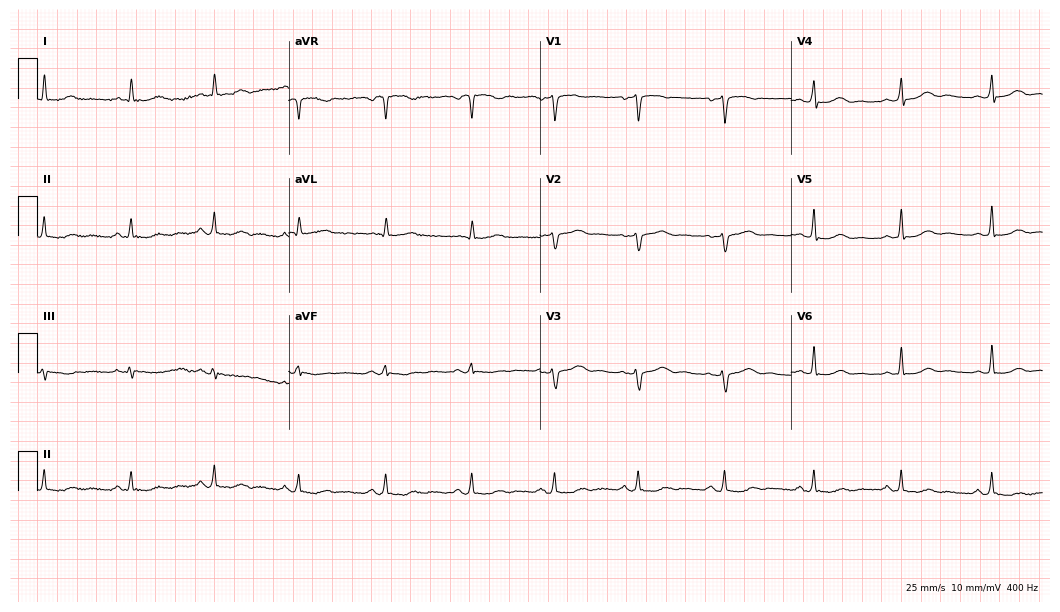
Electrocardiogram, a 48-year-old female patient. Of the six screened findings (first-degree AV block, right bundle branch block, left bundle branch block, sinus bradycardia, atrial fibrillation, sinus tachycardia), none is recorded. Other findings, if any, are not listed.